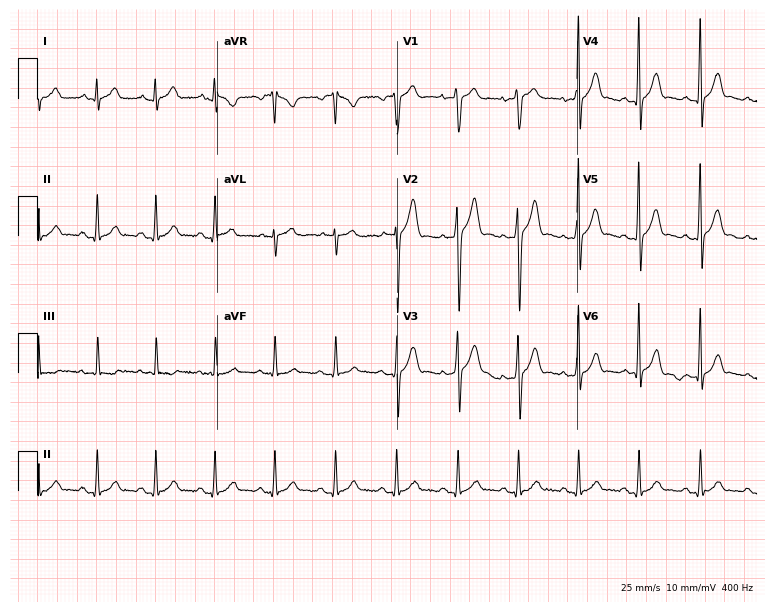
Resting 12-lead electrocardiogram. Patient: a male, 29 years old. None of these six findings is recorded: first-degree AV block, right bundle branch block (RBBB), left bundle branch block (LBBB), sinus bradycardia, atrial fibrillation (AF), sinus tachycardia. Other findings, if any, are not listed.